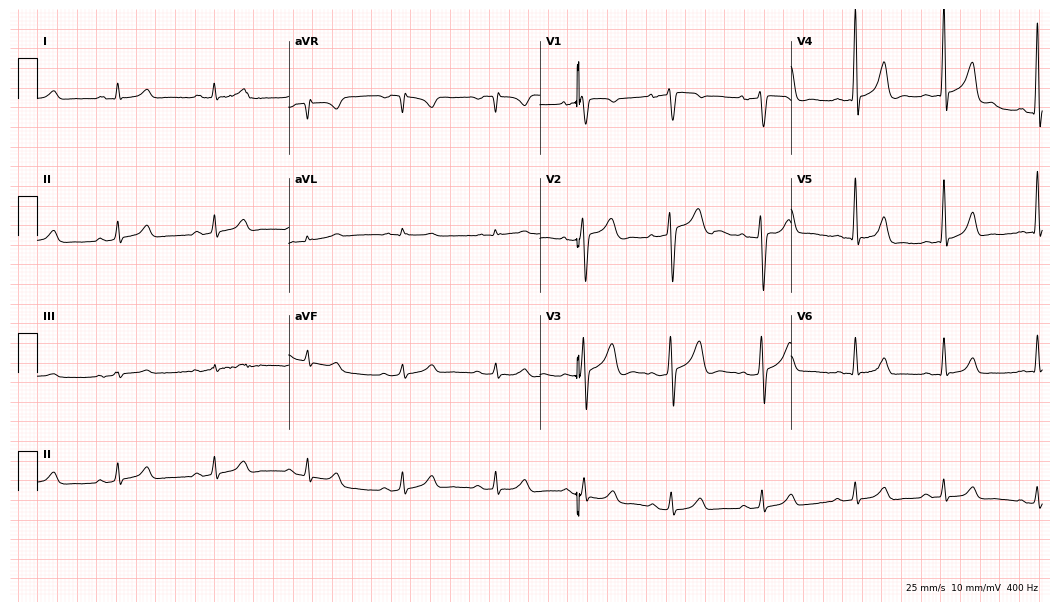
Electrocardiogram (10.2-second recording at 400 Hz), a male, 43 years old. Overall reading on record: normal ECG.